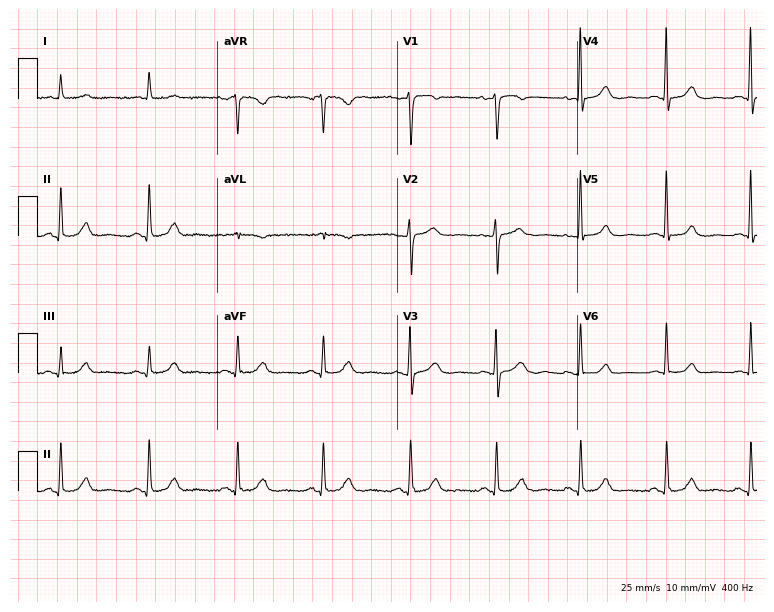
12-lead ECG from a 71-year-old female (7.3-second recording at 400 Hz). Recorded interpretation: within normal limits.